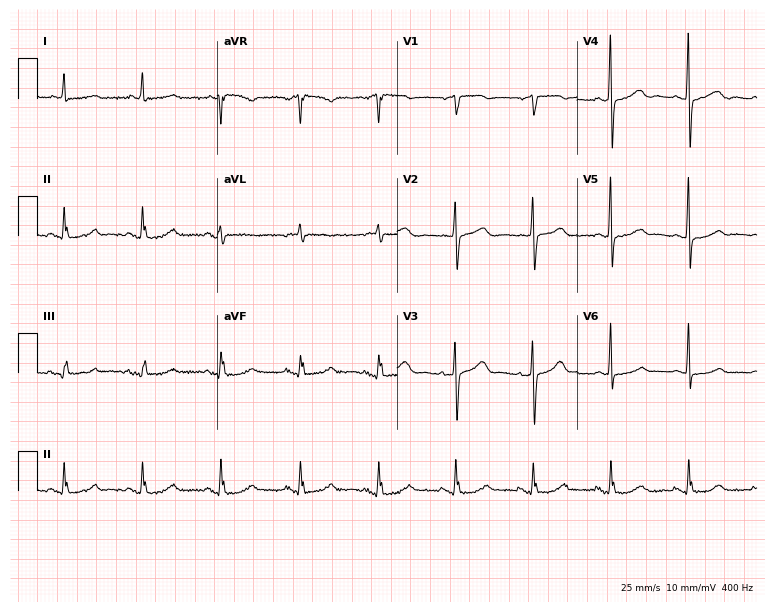
ECG (7.3-second recording at 400 Hz) — a woman, 67 years old. Labelled as a normal ECG.